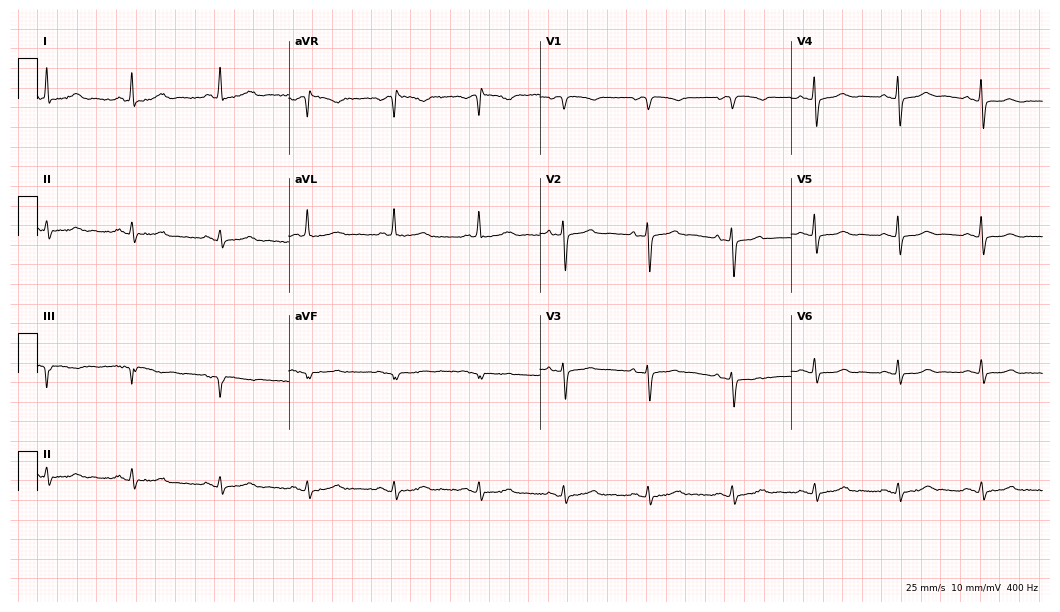
12-lead ECG (10.2-second recording at 400 Hz) from an 82-year-old female. Screened for six findings — first-degree AV block, right bundle branch block, left bundle branch block, sinus bradycardia, atrial fibrillation, sinus tachycardia — none is recorded.